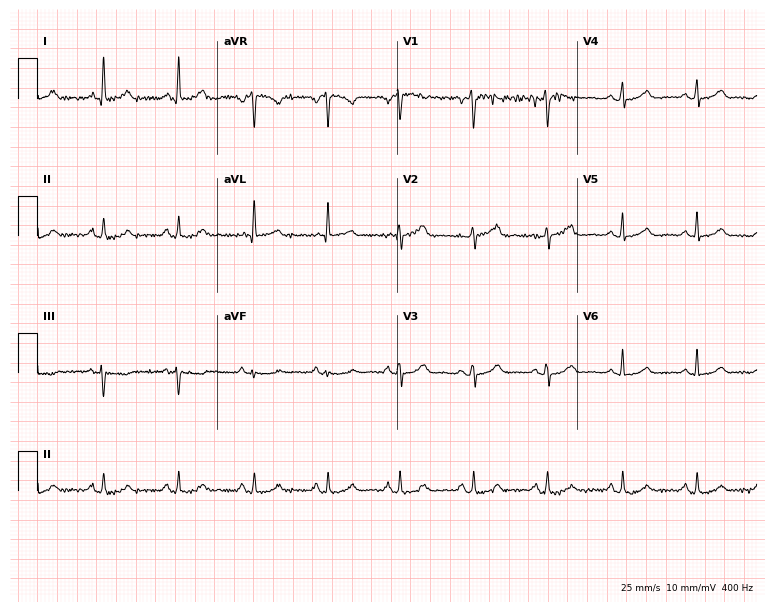
12-lead ECG from a 53-year-old female patient. Labelled as a normal ECG.